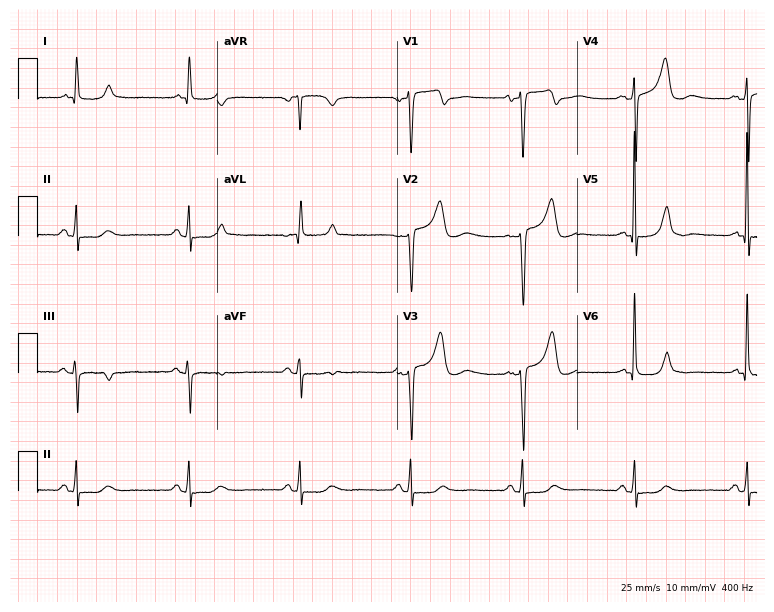
12-lead ECG from an 81-year-old female. Labelled as a normal ECG.